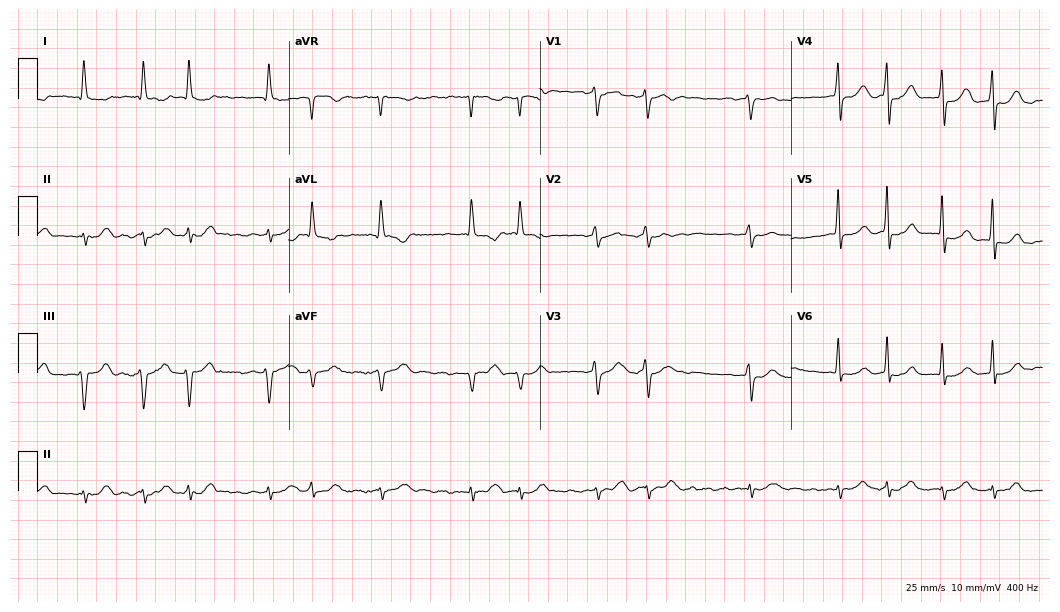
12-lead ECG (10.2-second recording at 400 Hz) from a 73-year-old female. Findings include atrial fibrillation.